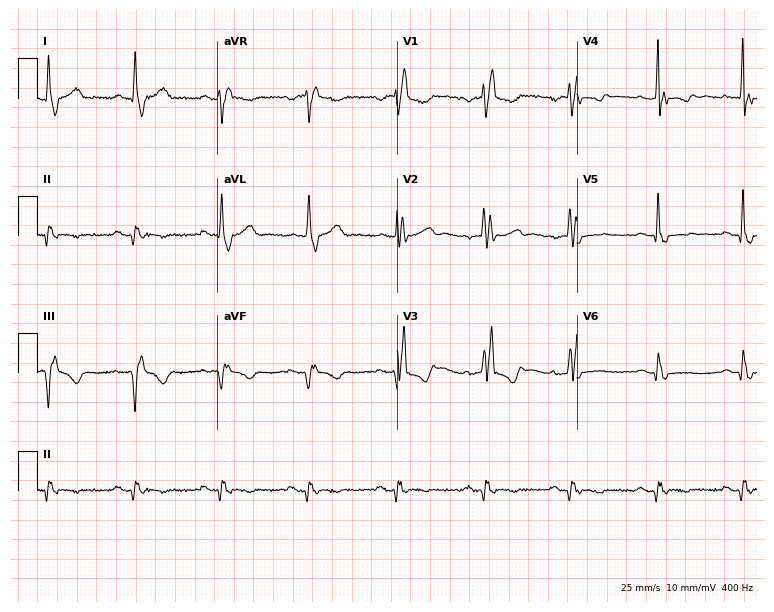
Resting 12-lead electrocardiogram. Patient: a male, 44 years old. The tracing shows right bundle branch block.